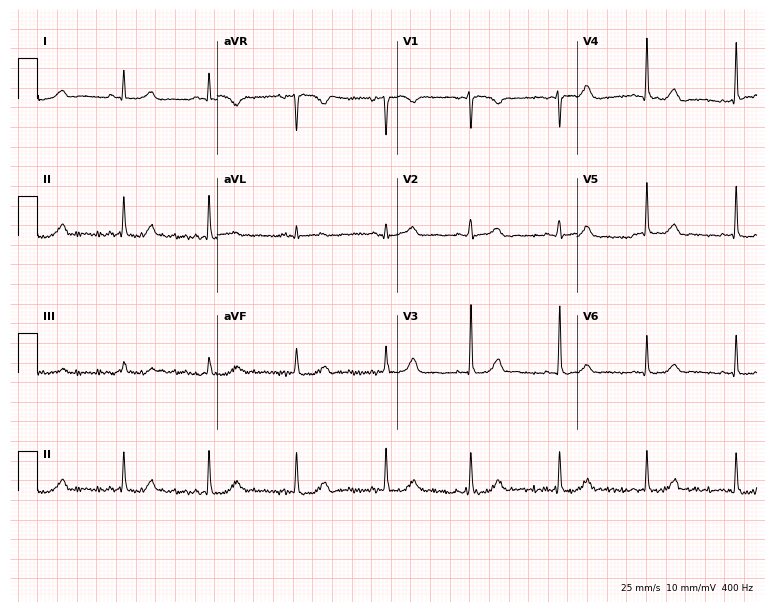
Resting 12-lead electrocardiogram. Patient: a 38-year-old female. Read as a normal ECG.